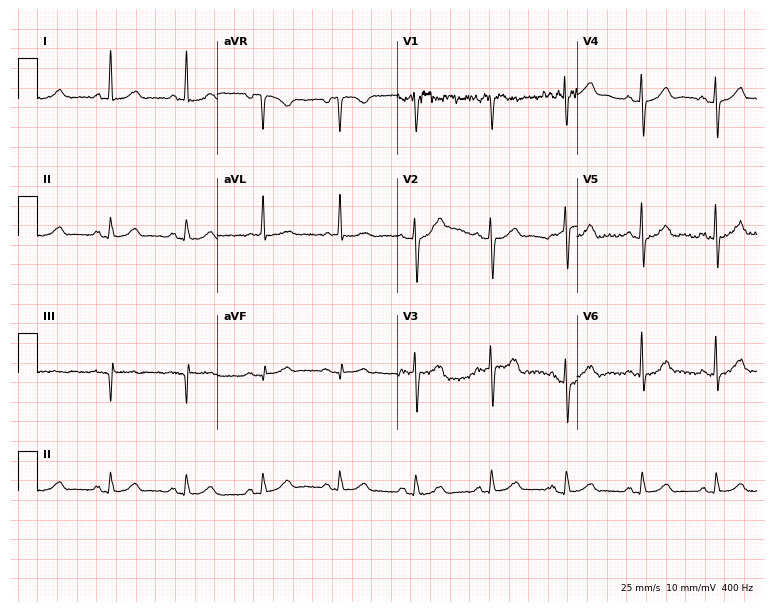
ECG — an 83-year-old male. Labelled as a normal ECG.